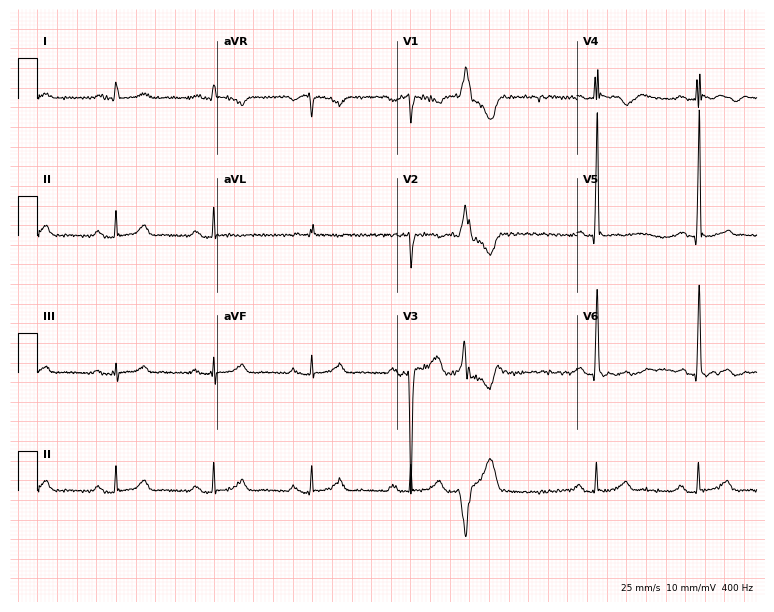
12-lead ECG (7.3-second recording at 400 Hz) from a man, 60 years old. Screened for six findings — first-degree AV block, right bundle branch block (RBBB), left bundle branch block (LBBB), sinus bradycardia, atrial fibrillation (AF), sinus tachycardia — none is recorded.